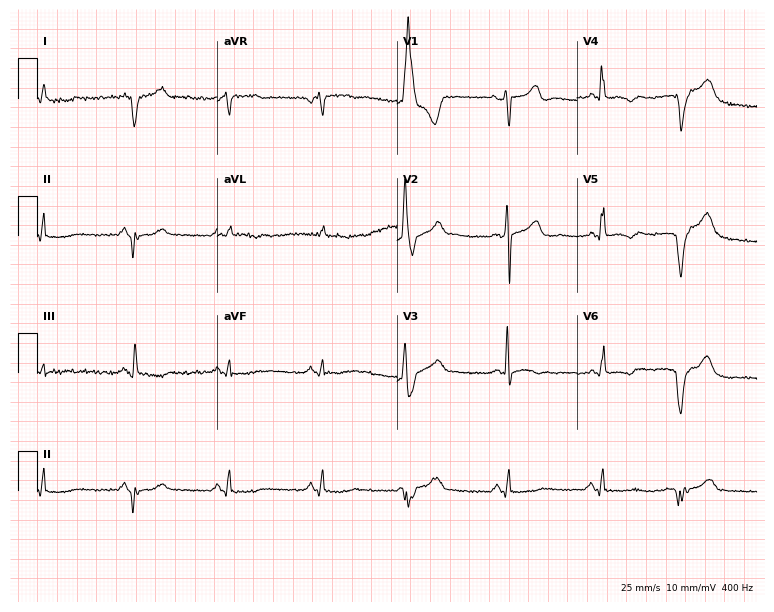
12-lead ECG from a male patient, 67 years old (7.3-second recording at 400 Hz). No first-degree AV block, right bundle branch block, left bundle branch block, sinus bradycardia, atrial fibrillation or sinus tachycardia recorded for this tracing. Other findings, if any, are not listed.